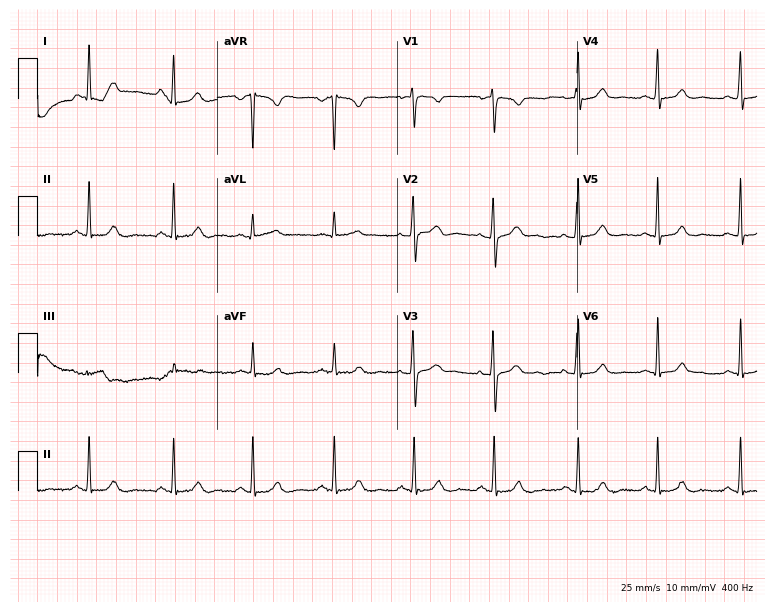
Standard 12-lead ECG recorded from a female, 30 years old (7.3-second recording at 400 Hz). None of these six findings is recorded: first-degree AV block, right bundle branch block, left bundle branch block, sinus bradycardia, atrial fibrillation, sinus tachycardia.